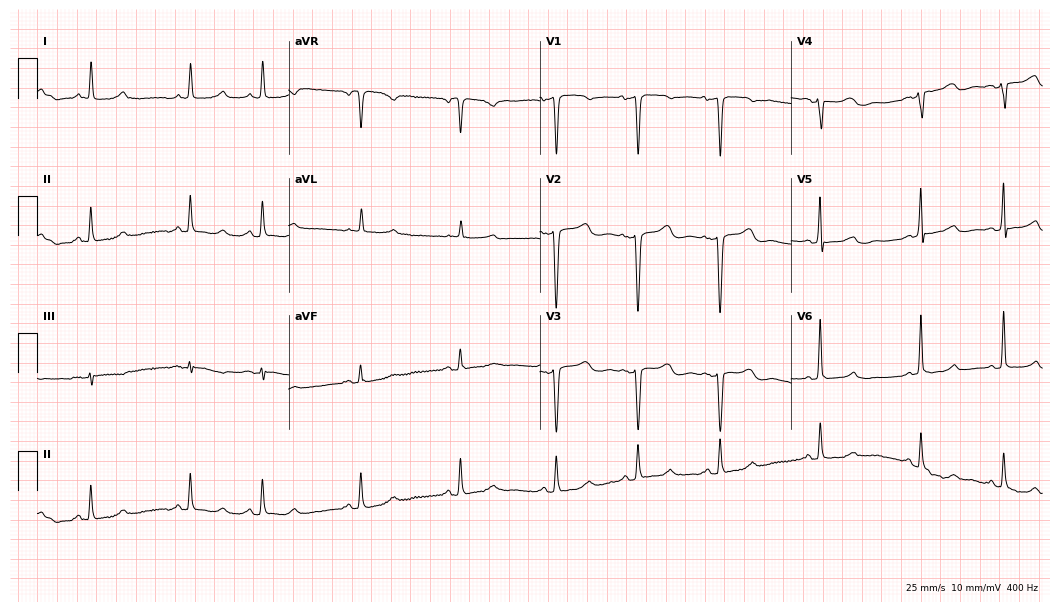
Resting 12-lead electrocardiogram. Patient: a woman, 78 years old. None of these six findings is recorded: first-degree AV block, right bundle branch block, left bundle branch block, sinus bradycardia, atrial fibrillation, sinus tachycardia.